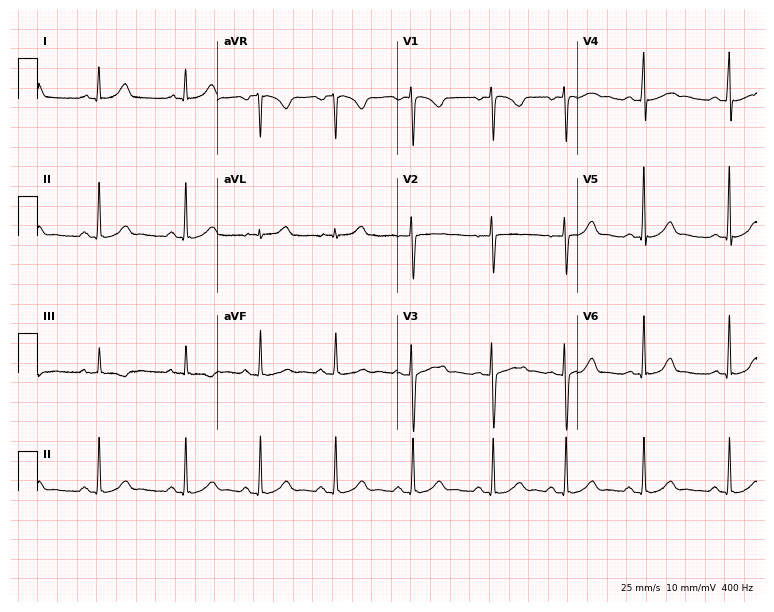
12-lead ECG from a 20-year-old female patient (7.3-second recording at 400 Hz). Recorded interpretation: within normal limits.